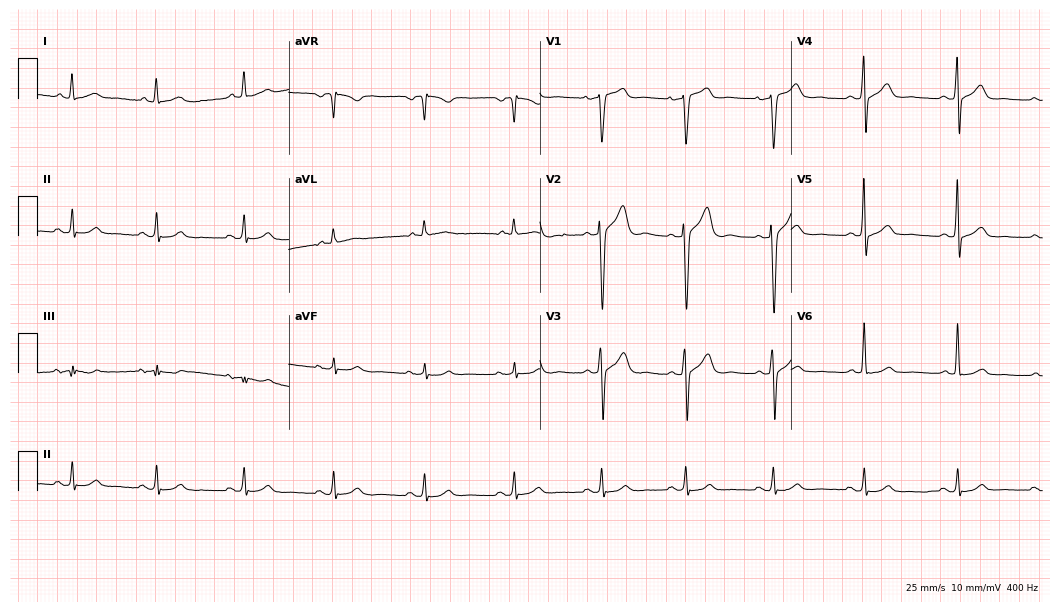
Resting 12-lead electrocardiogram. Patient: a male, 58 years old. Read as a normal ECG.